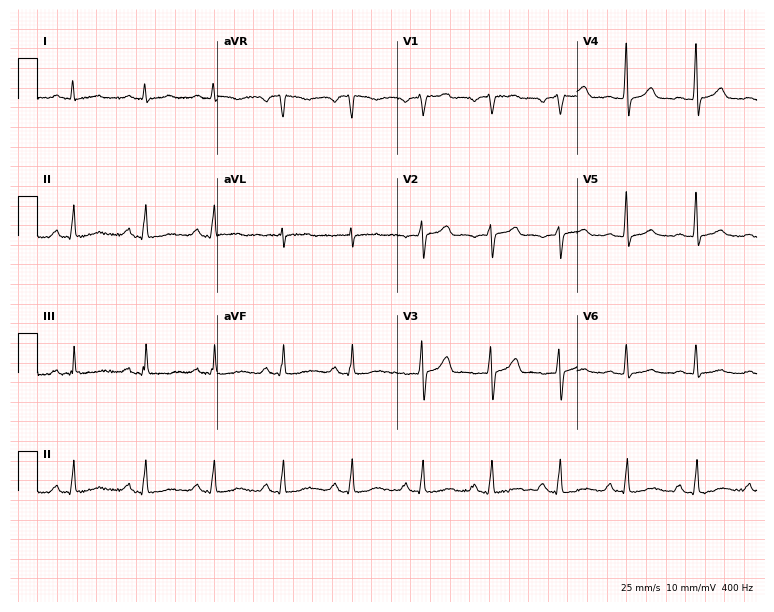
Resting 12-lead electrocardiogram. Patient: a male, 74 years old. Read as a normal ECG.